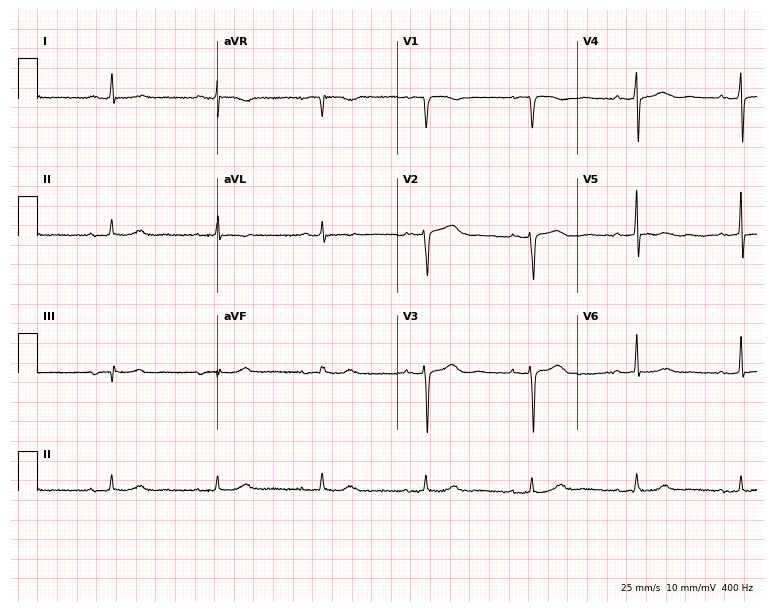
12-lead ECG from a woman, 85 years old (7.3-second recording at 400 Hz). No first-degree AV block, right bundle branch block, left bundle branch block, sinus bradycardia, atrial fibrillation or sinus tachycardia recorded for this tracing.